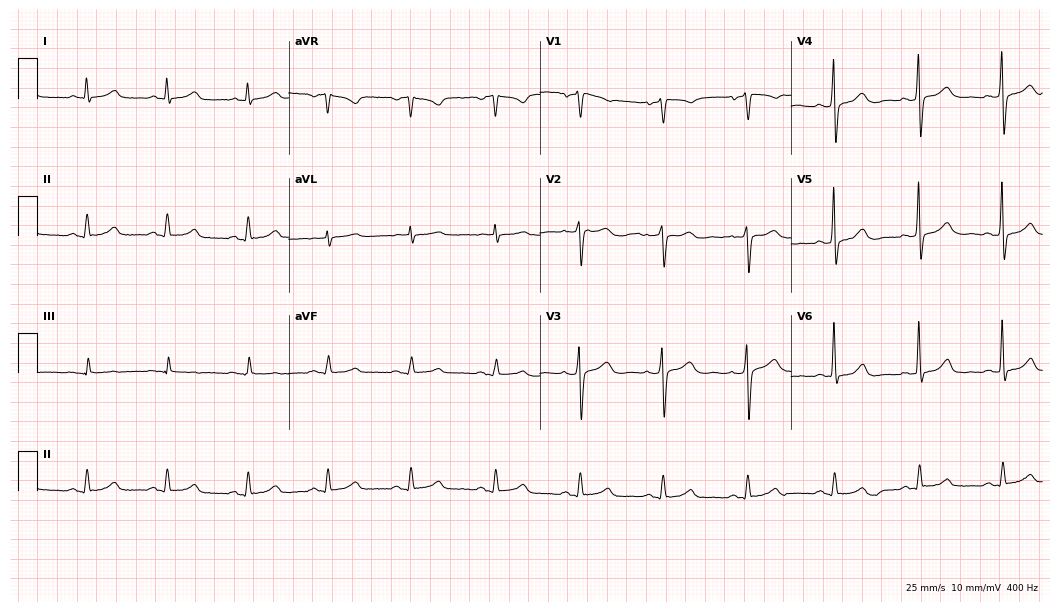
Standard 12-lead ECG recorded from a man, 68 years old (10.2-second recording at 400 Hz). Read as a normal ECG.